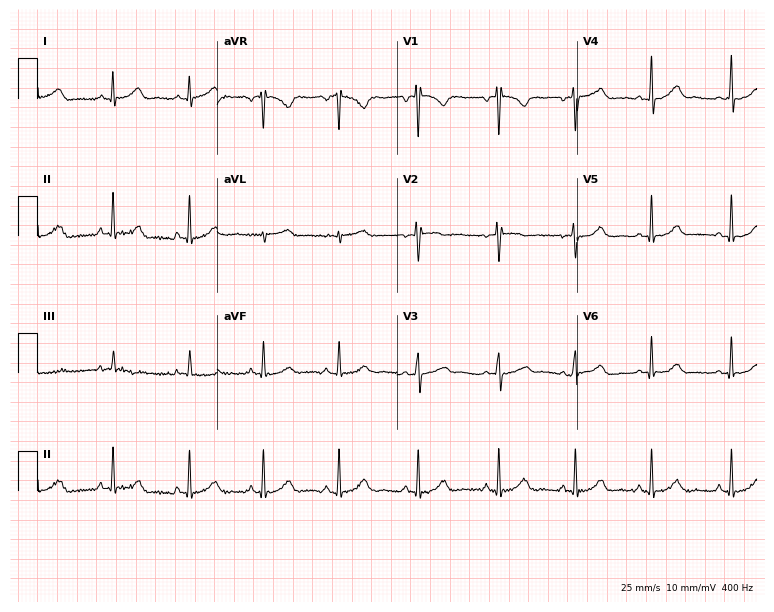
Resting 12-lead electrocardiogram. Patient: a woman, 27 years old. Read as a normal ECG.